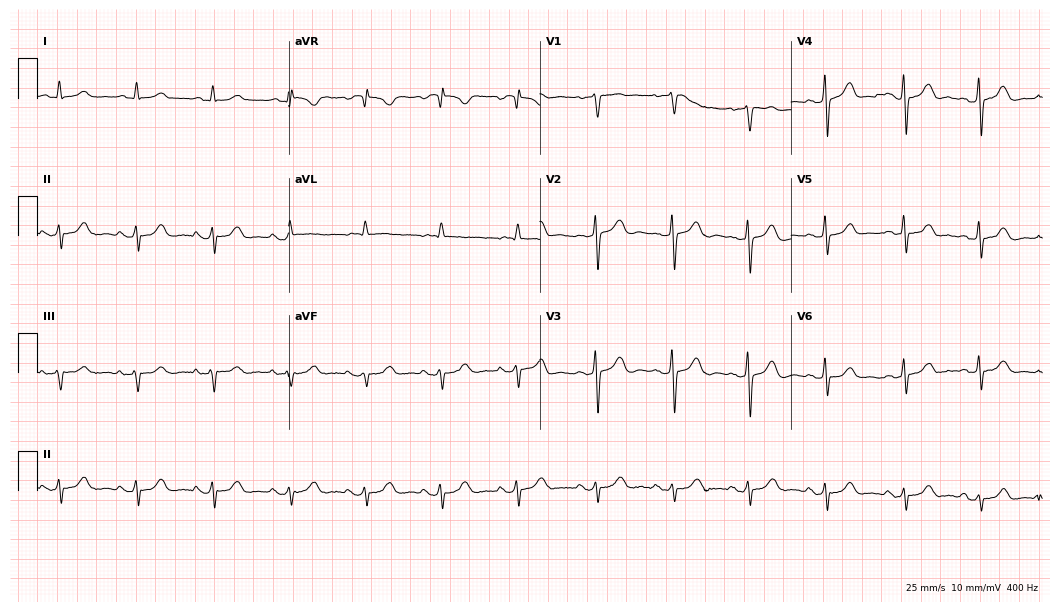
Resting 12-lead electrocardiogram. Patient: a male, 76 years old. None of these six findings is recorded: first-degree AV block, right bundle branch block, left bundle branch block, sinus bradycardia, atrial fibrillation, sinus tachycardia.